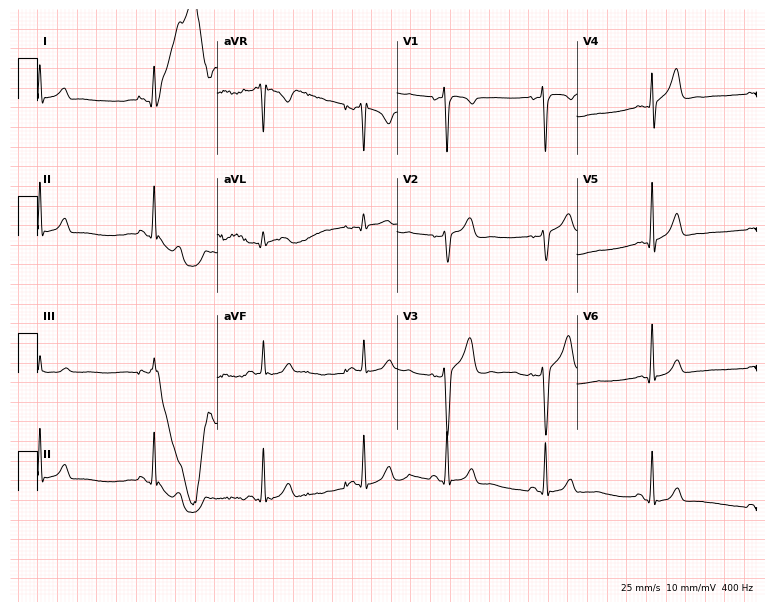
ECG — a 21-year-old man. Screened for six findings — first-degree AV block, right bundle branch block, left bundle branch block, sinus bradycardia, atrial fibrillation, sinus tachycardia — none is recorded. Other findings, if any, are not listed.